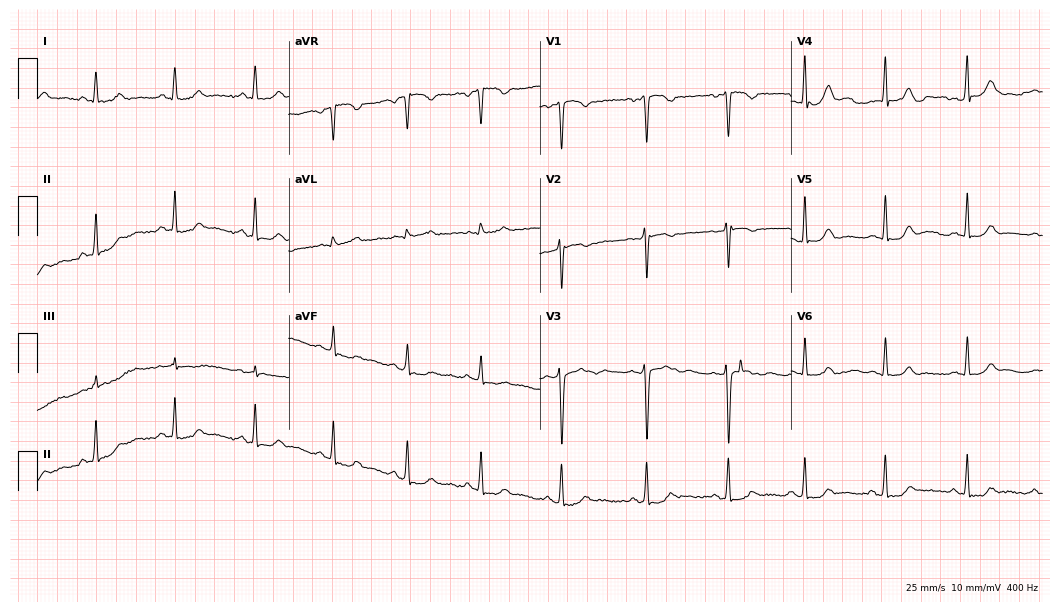
Electrocardiogram (10.2-second recording at 400 Hz), a 27-year-old female. Of the six screened findings (first-degree AV block, right bundle branch block, left bundle branch block, sinus bradycardia, atrial fibrillation, sinus tachycardia), none is recorded. Other findings, if any, are not listed.